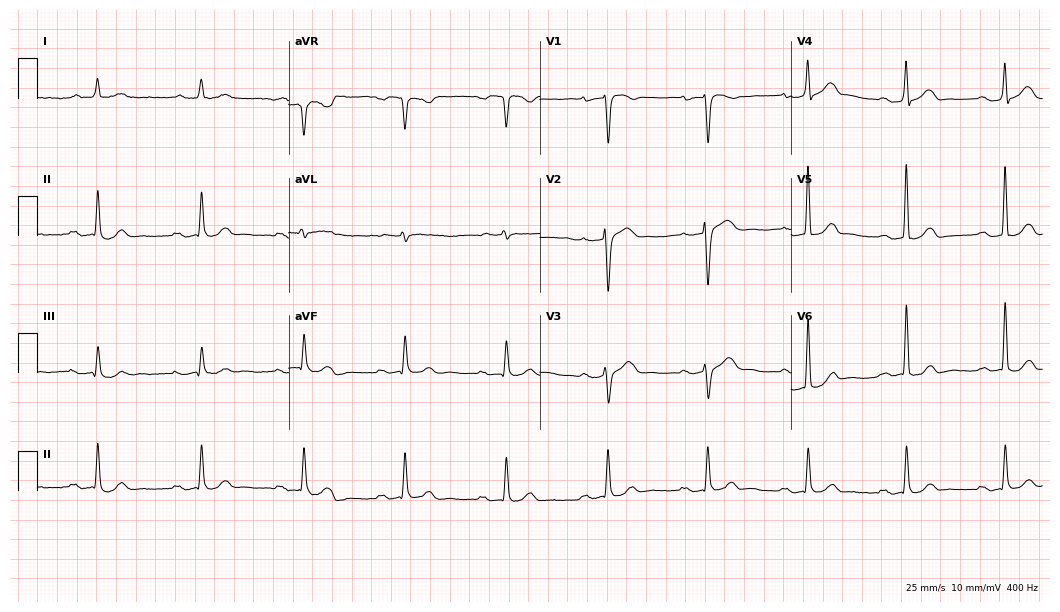
12-lead ECG from a male, 80 years old (10.2-second recording at 400 Hz). No first-degree AV block, right bundle branch block, left bundle branch block, sinus bradycardia, atrial fibrillation or sinus tachycardia recorded for this tracing. Findings outside these six are not listed.